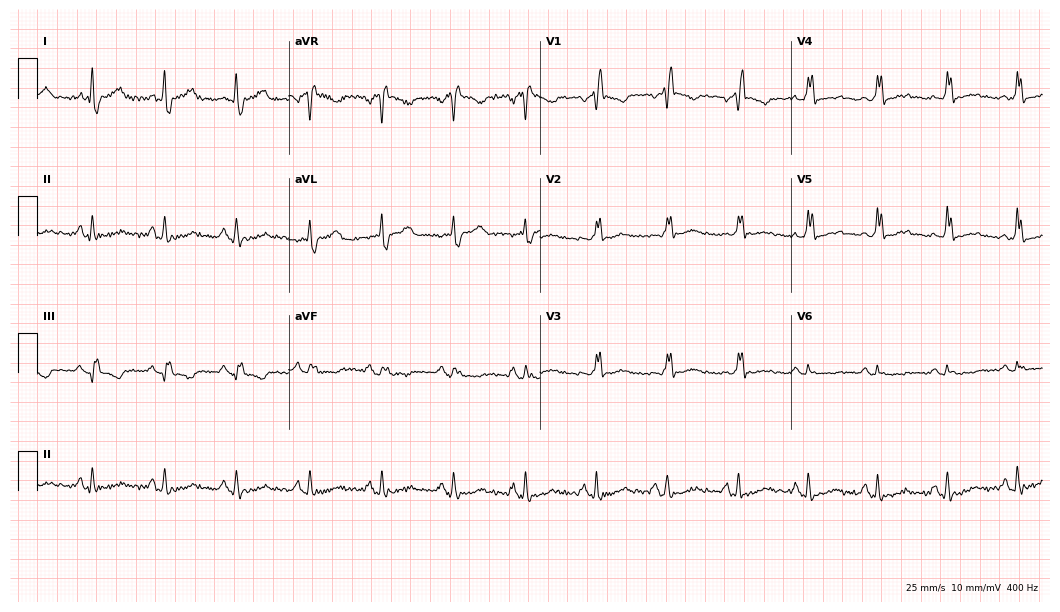
ECG (10.2-second recording at 400 Hz) — a 63-year-old woman. Screened for six findings — first-degree AV block, right bundle branch block, left bundle branch block, sinus bradycardia, atrial fibrillation, sinus tachycardia — none is recorded.